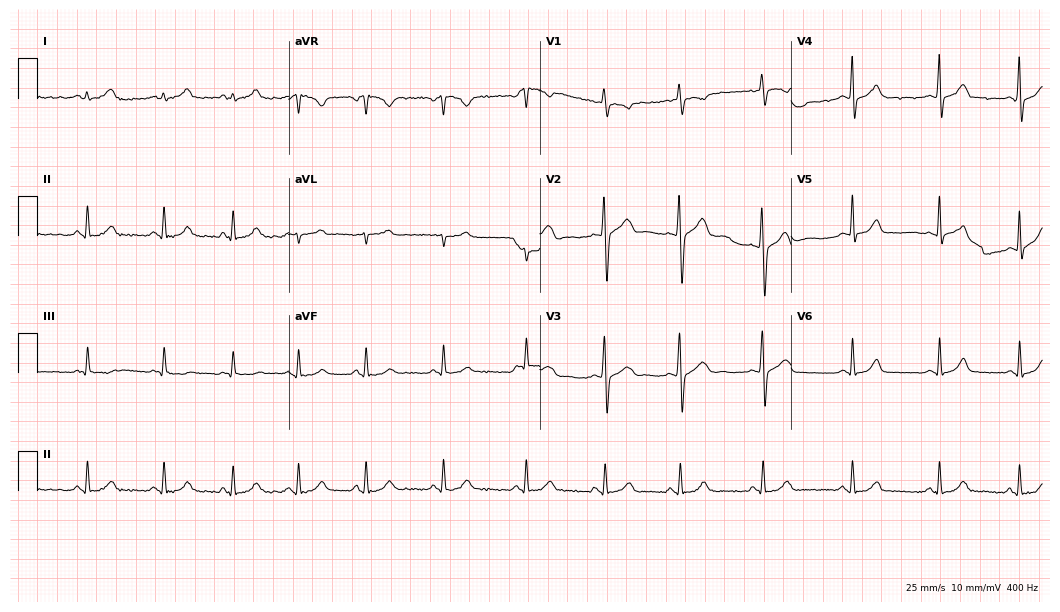
Electrocardiogram (10.2-second recording at 400 Hz), a woman, 28 years old. Of the six screened findings (first-degree AV block, right bundle branch block, left bundle branch block, sinus bradycardia, atrial fibrillation, sinus tachycardia), none is recorded. Other findings, if any, are not listed.